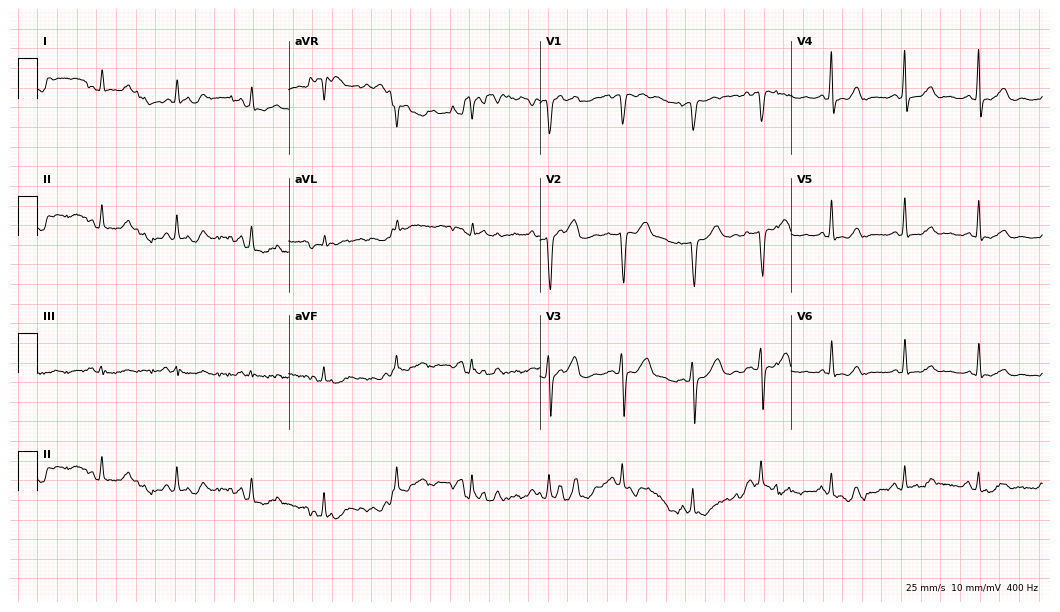
Standard 12-lead ECG recorded from a 37-year-old woman. None of these six findings is recorded: first-degree AV block, right bundle branch block, left bundle branch block, sinus bradycardia, atrial fibrillation, sinus tachycardia. Findings outside these six are not listed.